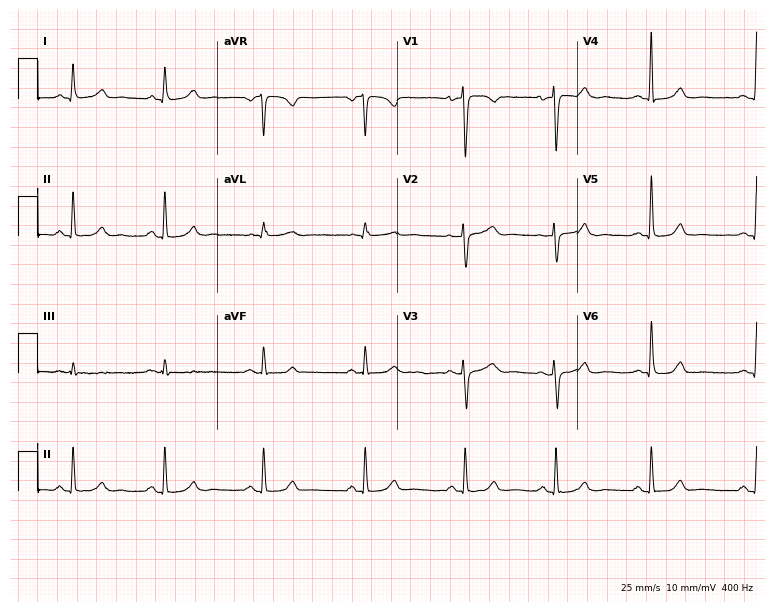
12-lead ECG (7.3-second recording at 400 Hz) from a 42-year-old female patient. Labelled as a normal ECG.